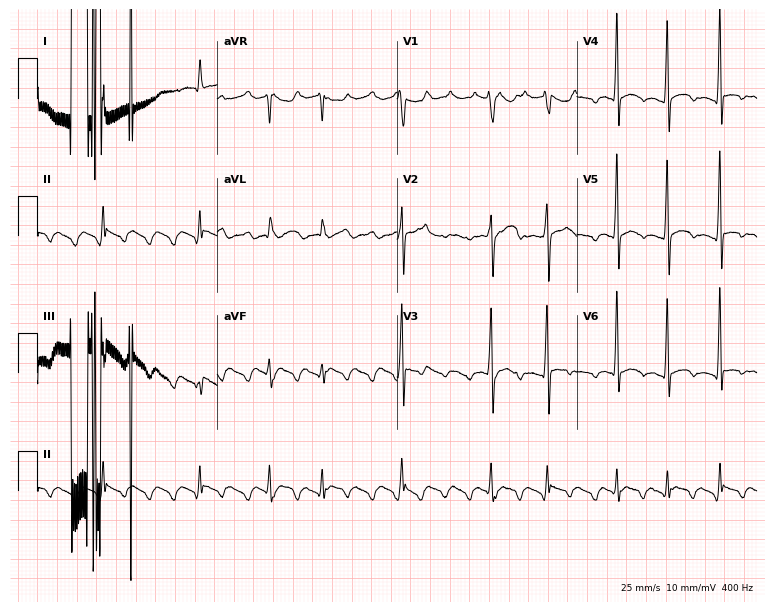
Electrocardiogram (7.3-second recording at 400 Hz), a man, 44 years old. Of the six screened findings (first-degree AV block, right bundle branch block (RBBB), left bundle branch block (LBBB), sinus bradycardia, atrial fibrillation (AF), sinus tachycardia), none is recorded.